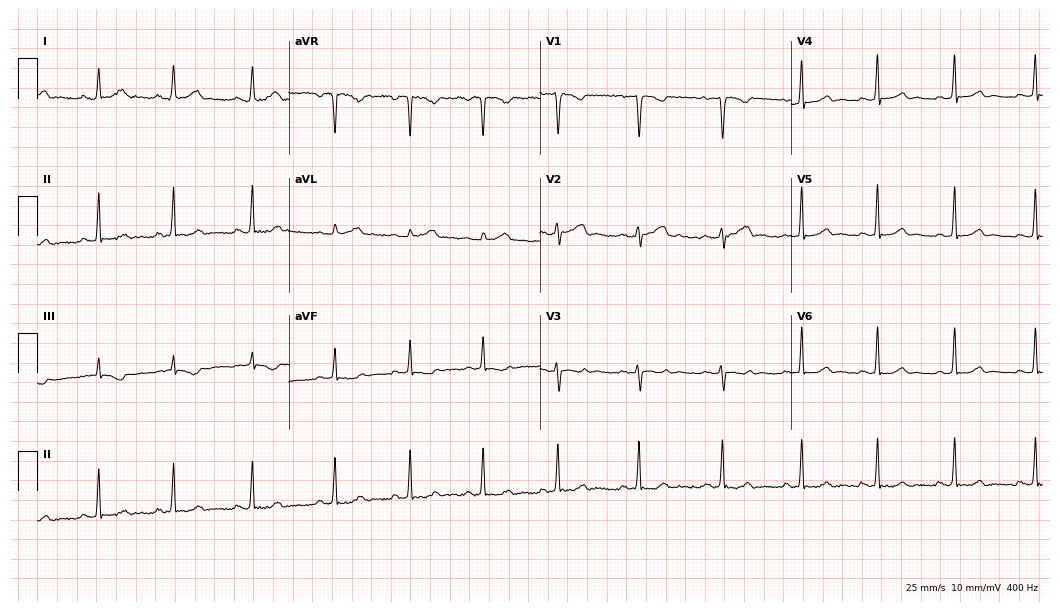
Standard 12-lead ECG recorded from a 26-year-old female (10.2-second recording at 400 Hz). None of these six findings is recorded: first-degree AV block, right bundle branch block, left bundle branch block, sinus bradycardia, atrial fibrillation, sinus tachycardia. Findings outside these six are not listed.